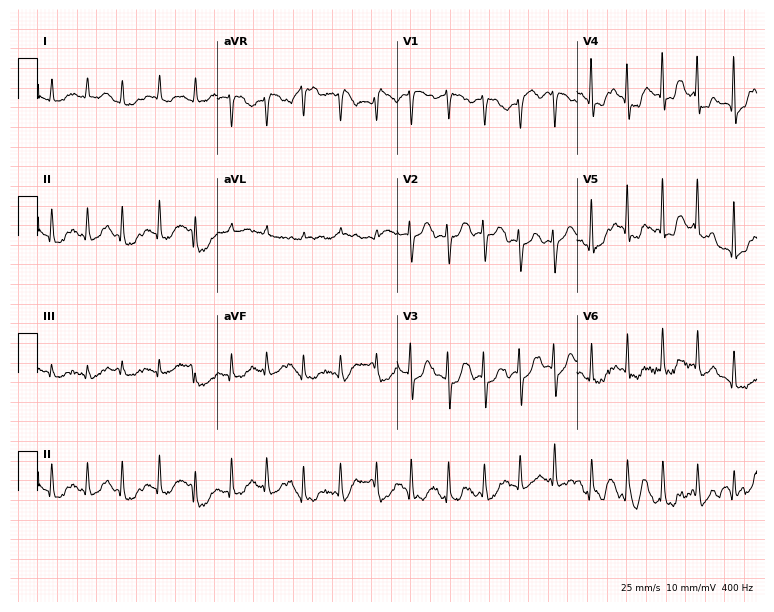
Standard 12-lead ECG recorded from a 76-year-old female patient. The tracing shows atrial fibrillation.